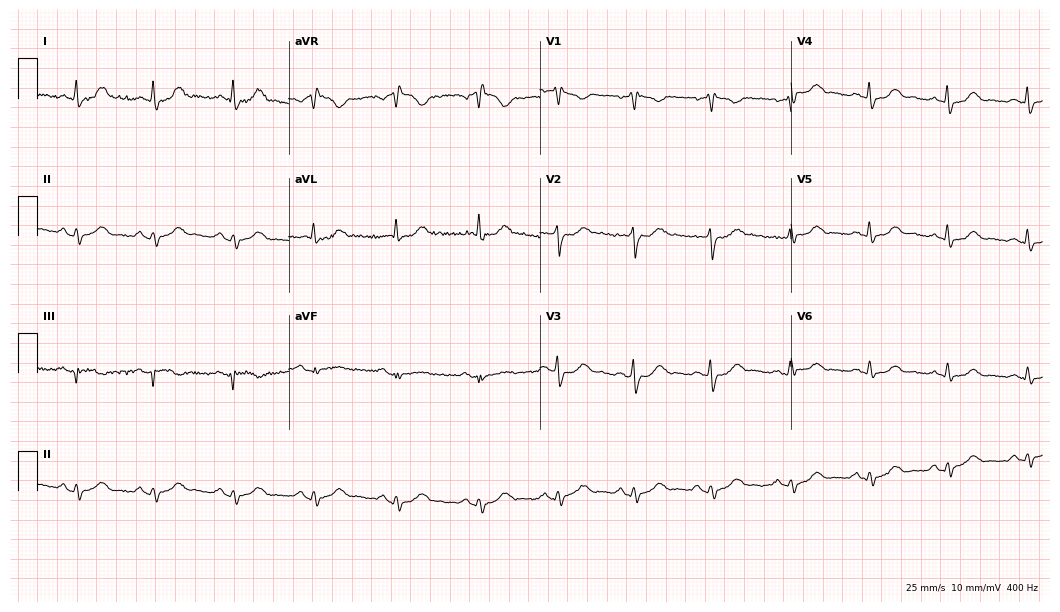
ECG (10.2-second recording at 400 Hz) — a 51-year-old female. Screened for six findings — first-degree AV block, right bundle branch block, left bundle branch block, sinus bradycardia, atrial fibrillation, sinus tachycardia — none is recorded.